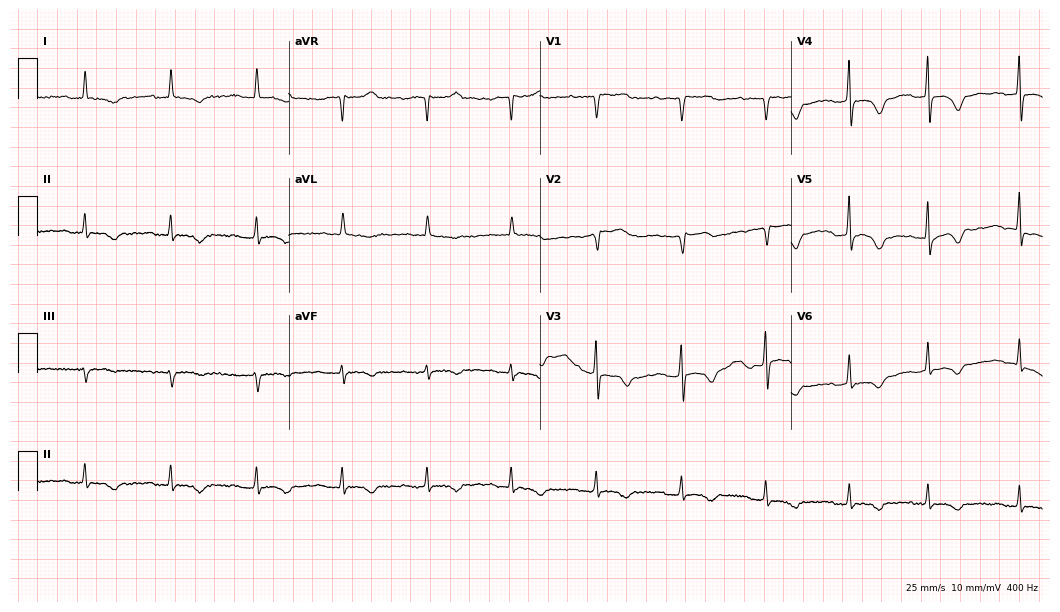
12-lead ECG from a female patient, 68 years old. Shows first-degree AV block.